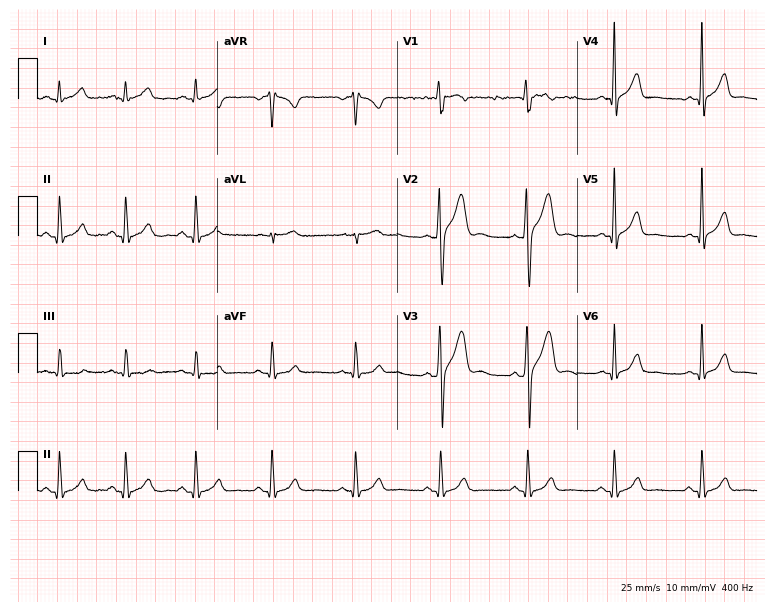
Resting 12-lead electrocardiogram (7.3-second recording at 400 Hz). Patient: a 30-year-old male. Read as a normal ECG.